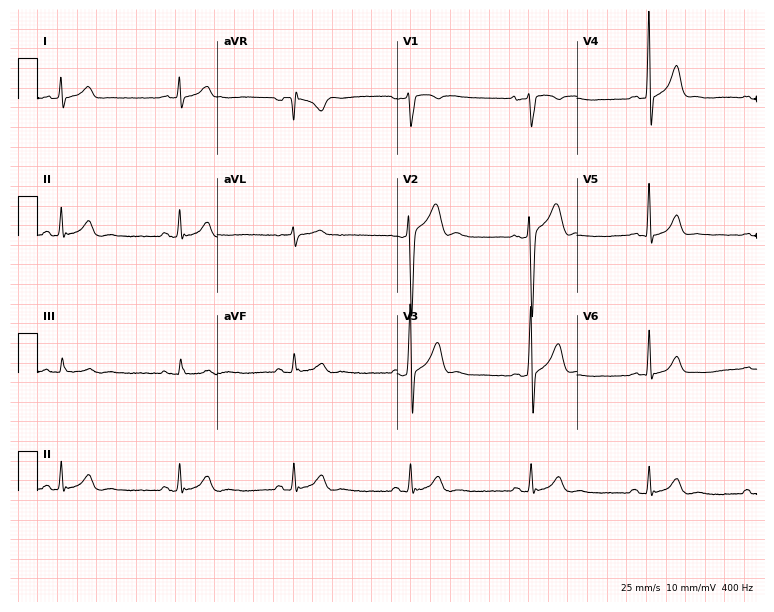
Electrocardiogram (7.3-second recording at 400 Hz), a 27-year-old man. Interpretation includes sinus bradycardia (a sinus rate of 50 beats per minute or less).